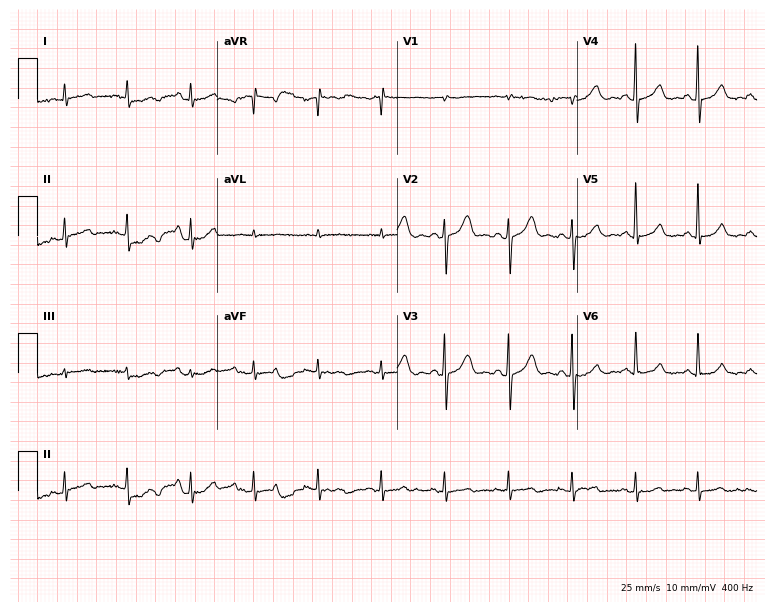
Standard 12-lead ECG recorded from a female patient, 34 years old. Read as a normal ECG.